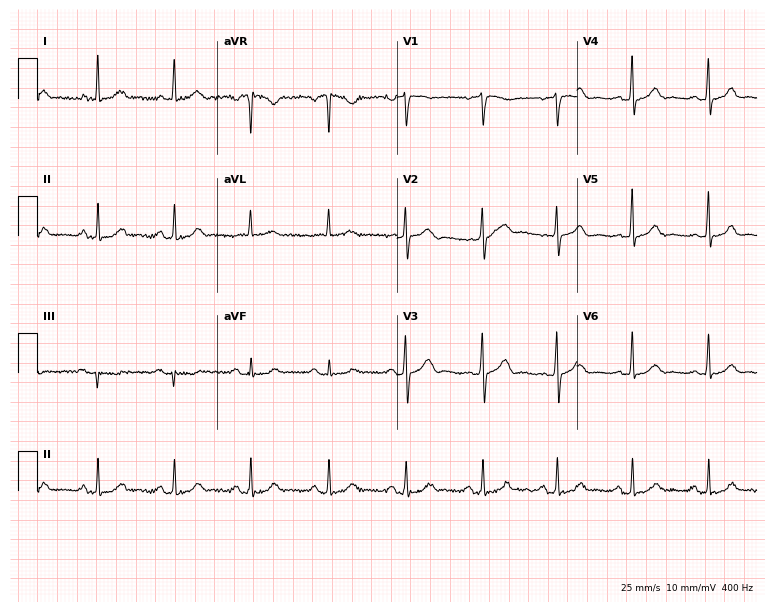
Resting 12-lead electrocardiogram. Patient: a 55-year-old female. Read as a normal ECG.